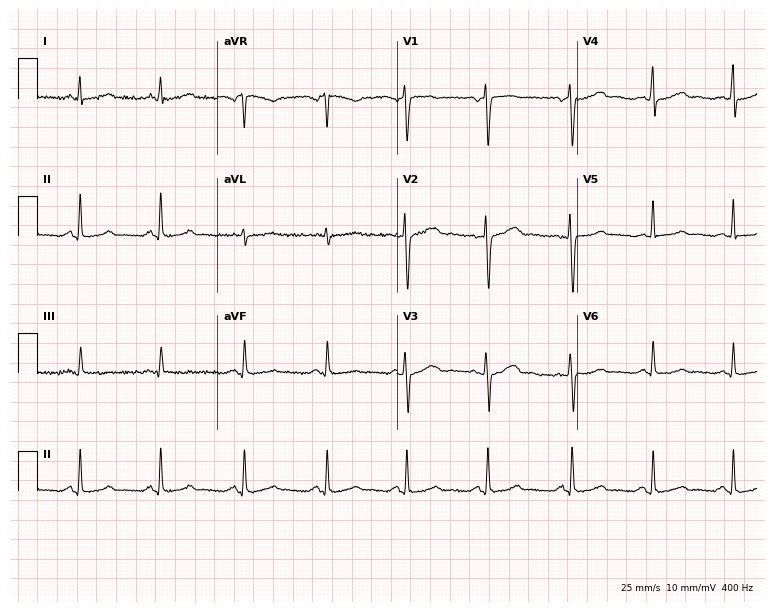
Standard 12-lead ECG recorded from a 44-year-old female. Read as a normal ECG.